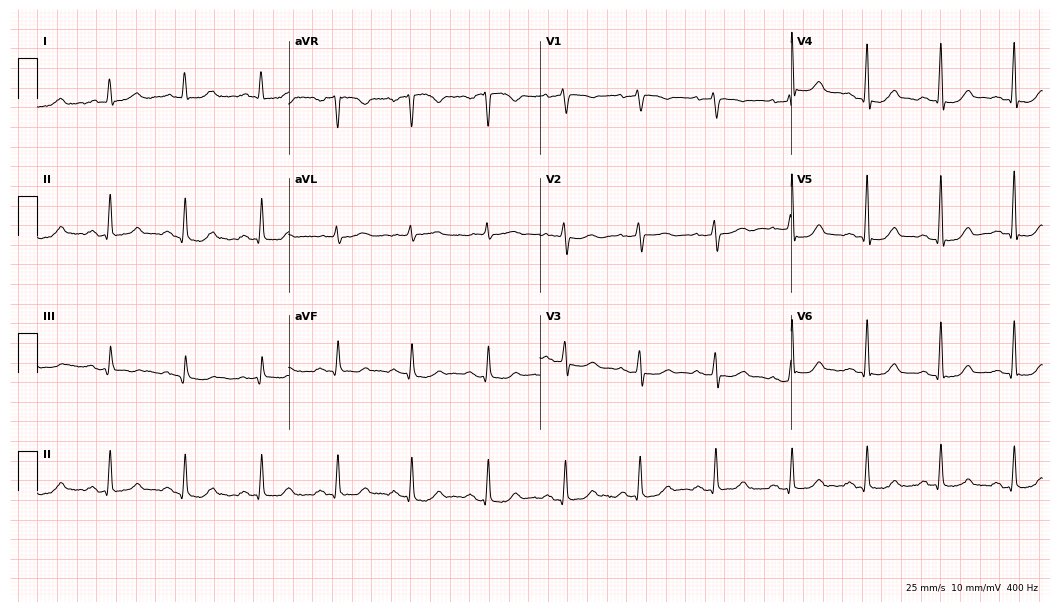
ECG (10.2-second recording at 400 Hz) — a female, 69 years old. Labelled as a normal ECG.